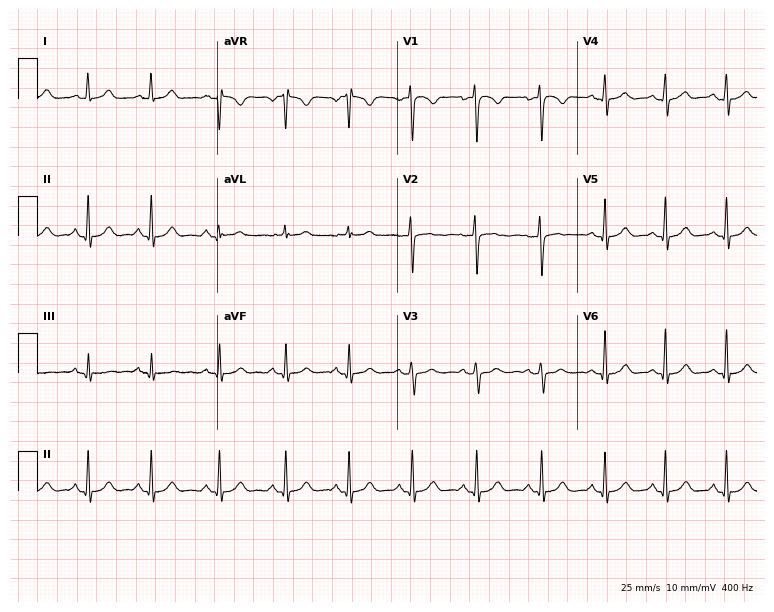
ECG — a female, 29 years old. Labelled as a normal ECG.